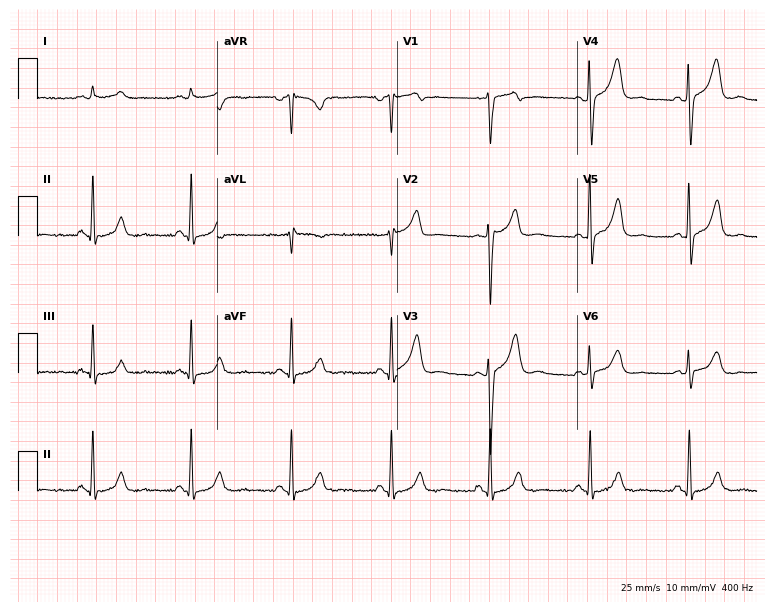
Electrocardiogram (7.3-second recording at 400 Hz), a 50-year-old man. Overall reading on record: normal ECG.